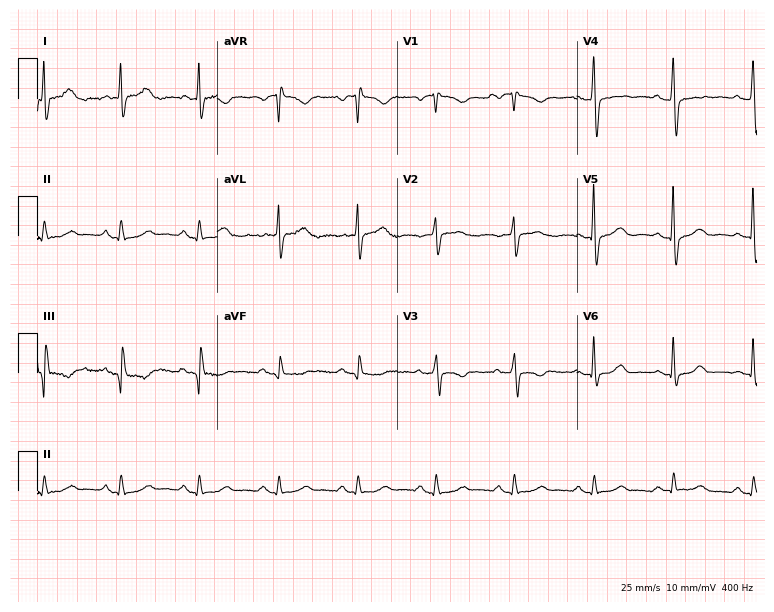
12-lead ECG from a 76-year-old woman (7.3-second recording at 400 Hz). No first-degree AV block, right bundle branch block, left bundle branch block, sinus bradycardia, atrial fibrillation or sinus tachycardia recorded for this tracing. Other findings, if any, are not listed.